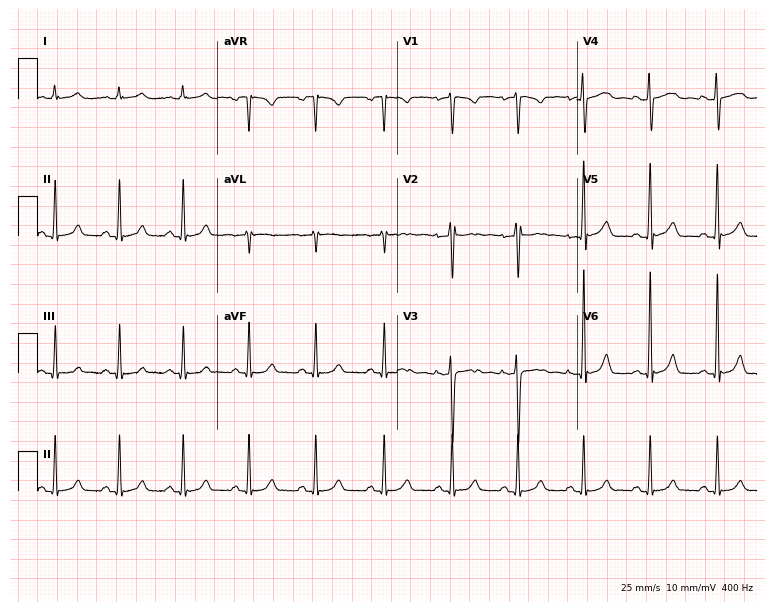
Resting 12-lead electrocardiogram. Patient: a 34-year-old woman. Read as a normal ECG.